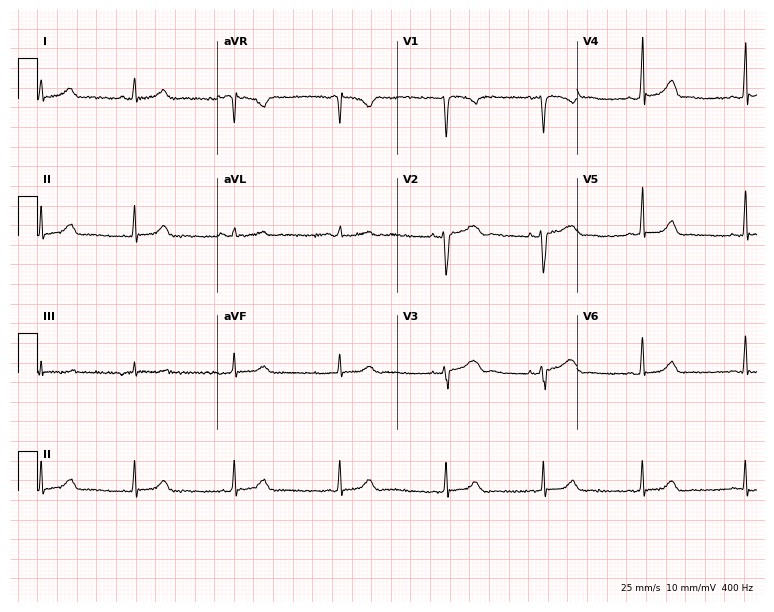
12-lead ECG from a female, 31 years old (7.3-second recording at 400 Hz). No first-degree AV block, right bundle branch block, left bundle branch block, sinus bradycardia, atrial fibrillation or sinus tachycardia recorded for this tracing. Only these six findings were labelled.